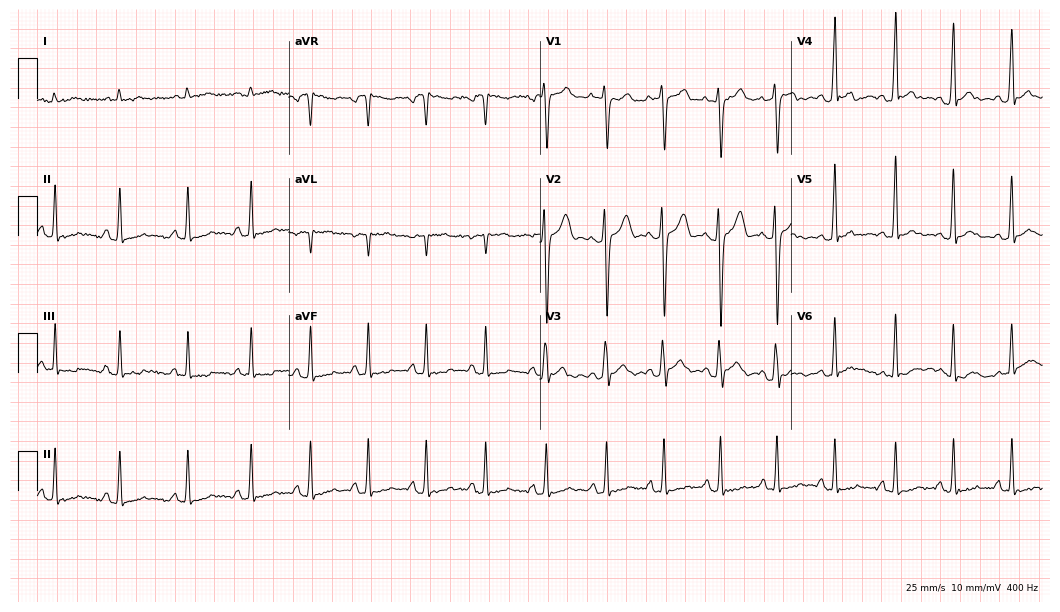
Electrocardiogram (10.2-second recording at 400 Hz), a 20-year-old male. Overall reading on record: normal ECG.